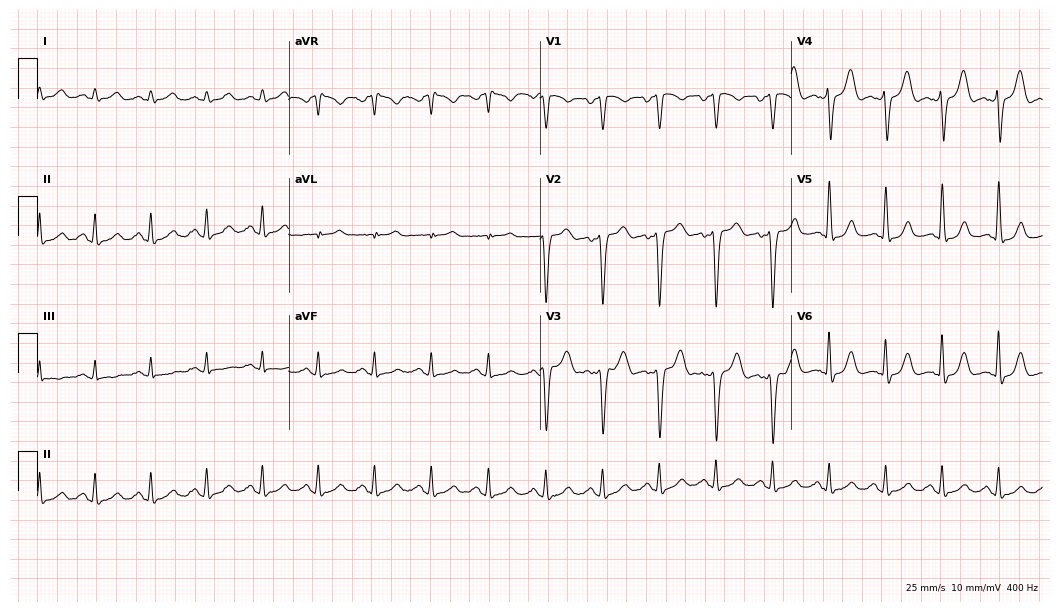
Standard 12-lead ECG recorded from a 54-year-old male. None of these six findings is recorded: first-degree AV block, right bundle branch block (RBBB), left bundle branch block (LBBB), sinus bradycardia, atrial fibrillation (AF), sinus tachycardia.